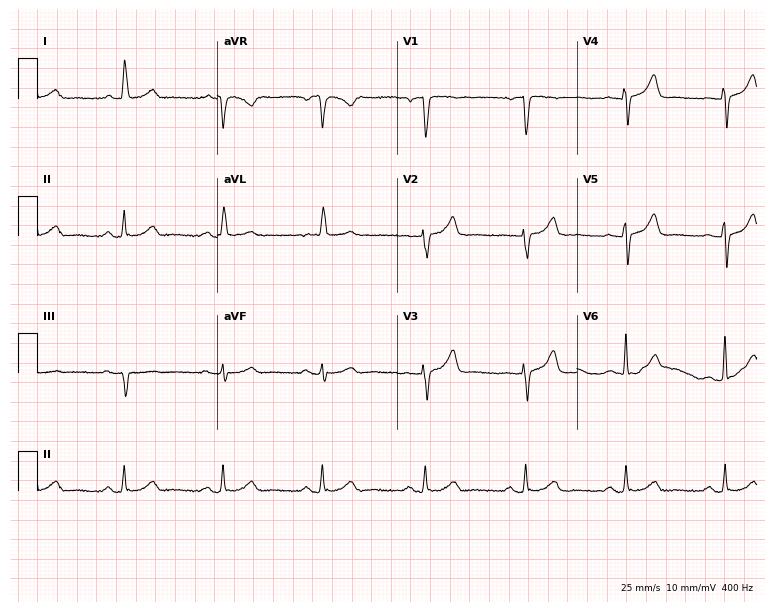
ECG (7.3-second recording at 400 Hz) — a female patient, 78 years old. Labelled as a normal ECG.